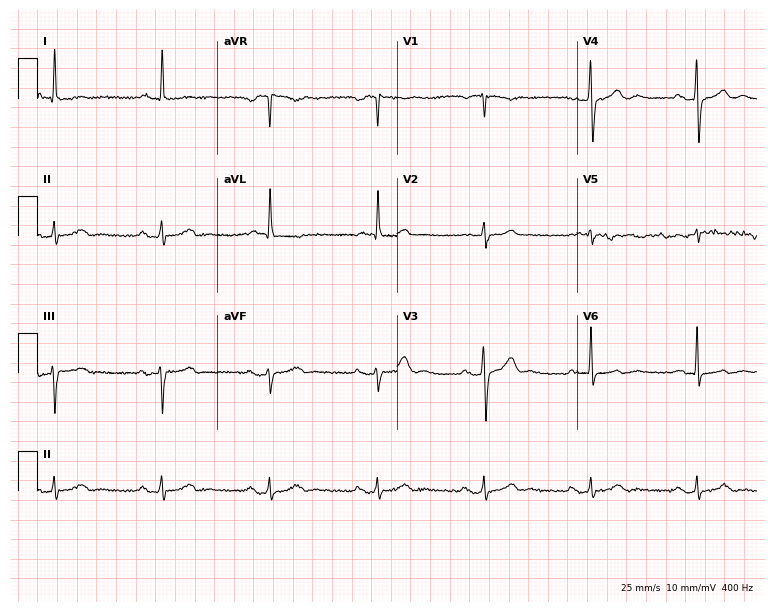
ECG (7.3-second recording at 400 Hz) — a male, 77 years old. Labelled as a normal ECG.